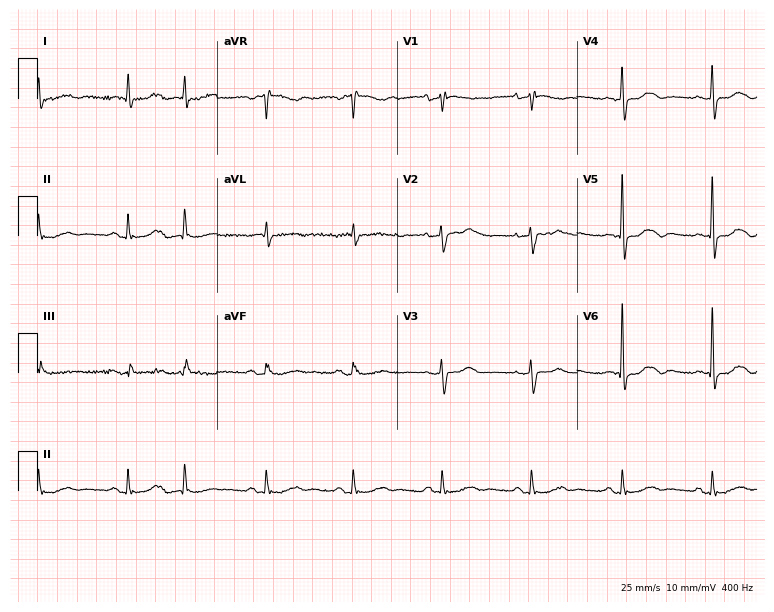
Electrocardiogram, a 76-year-old female patient. Of the six screened findings (first-degree AV block, right bundle branch block, left bundle branch block, sinus bradycardia, atrial fibrillation, sinus tachycardia), none is recorded.